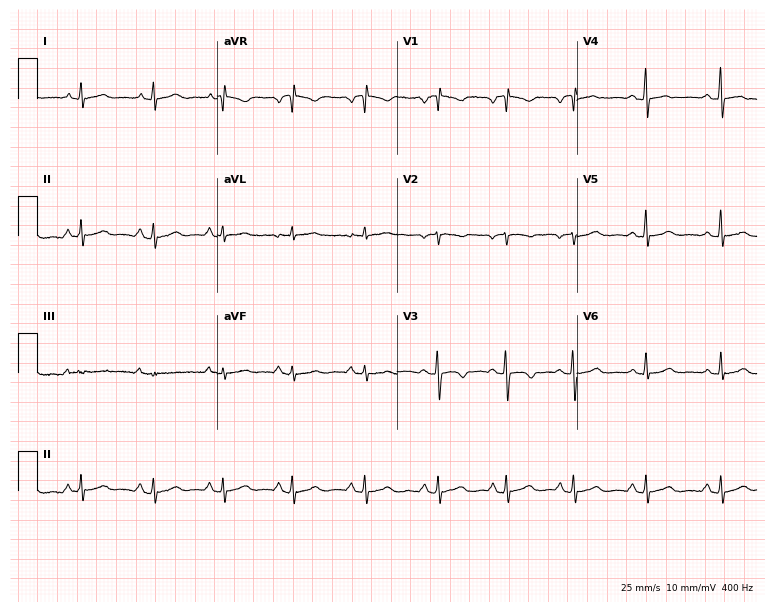
ECG — a woman, 37 years old. Screened for six findings — first-degree AV block, right bundle branch block, left bundle branch block, sinus bradycardia, atrial fibrillation, sinus tachycardia — none is recorded.